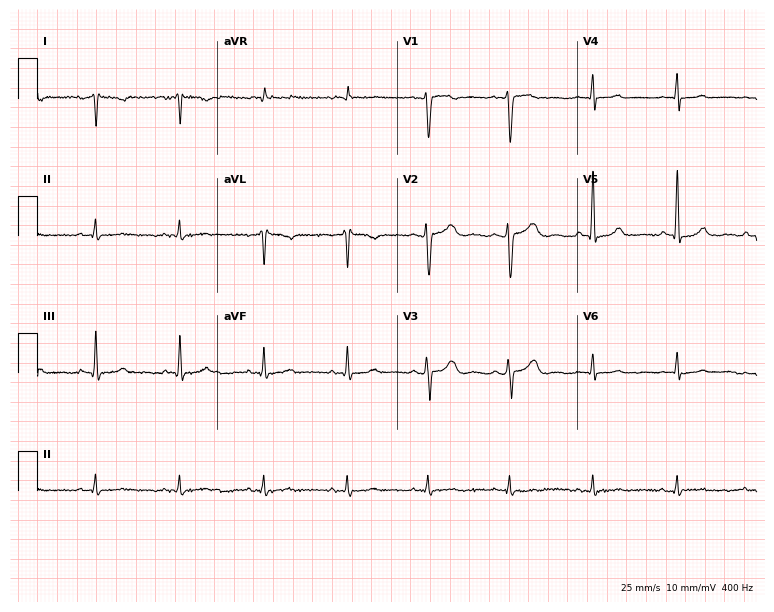
Resting 12-lead electrocardiogram (7.3-second recording at 400 Hz). Patient: a 52-year-old female. None of these six findings is recorded: first-degree AV block, right bundle branch block, left bundle branch block, sinus bradycardia, atrial fibrillation, sinus tachycardia. Findings outside these six are not listed.